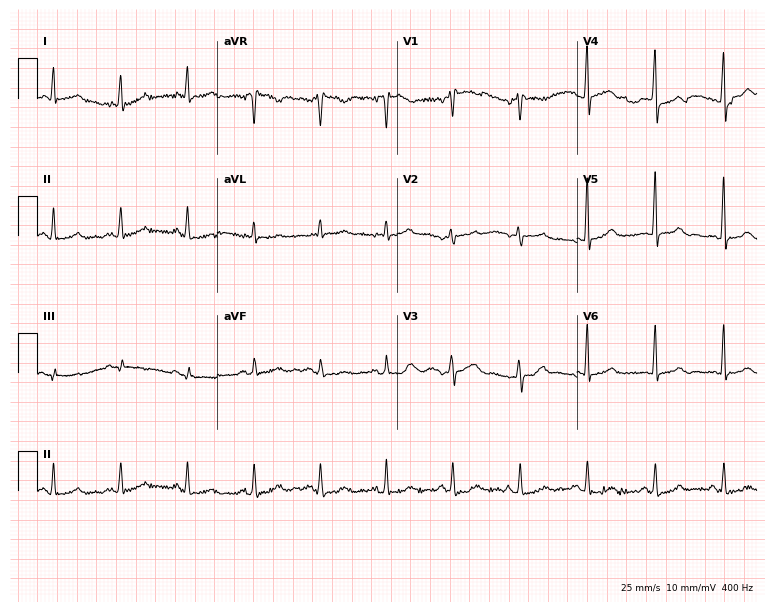
Electrocardiogram (7.3-second recording at 400 Hz), a woman, 60 years old. Overall reading on record: normal ECG.